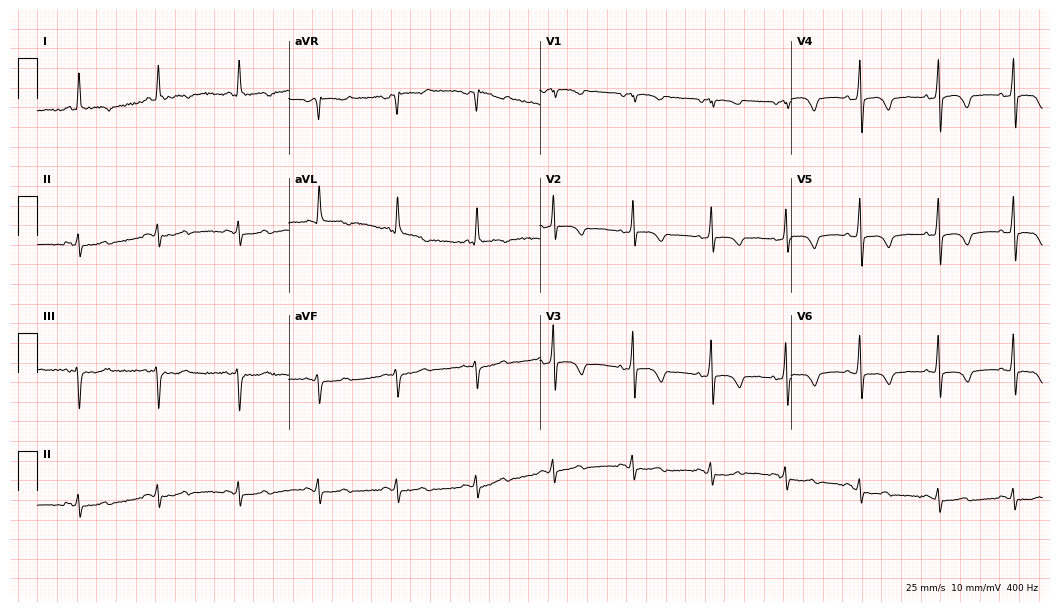
Electrocardiogram (10.2-second recording at 400 Hz), an 80-year-old woman. Of the six screened findings (first-degree AV block, right bundle branch block, left bundle branch block, sinus bradycardia, atrial fibrillation, sinus tachycardia), none is recorded.